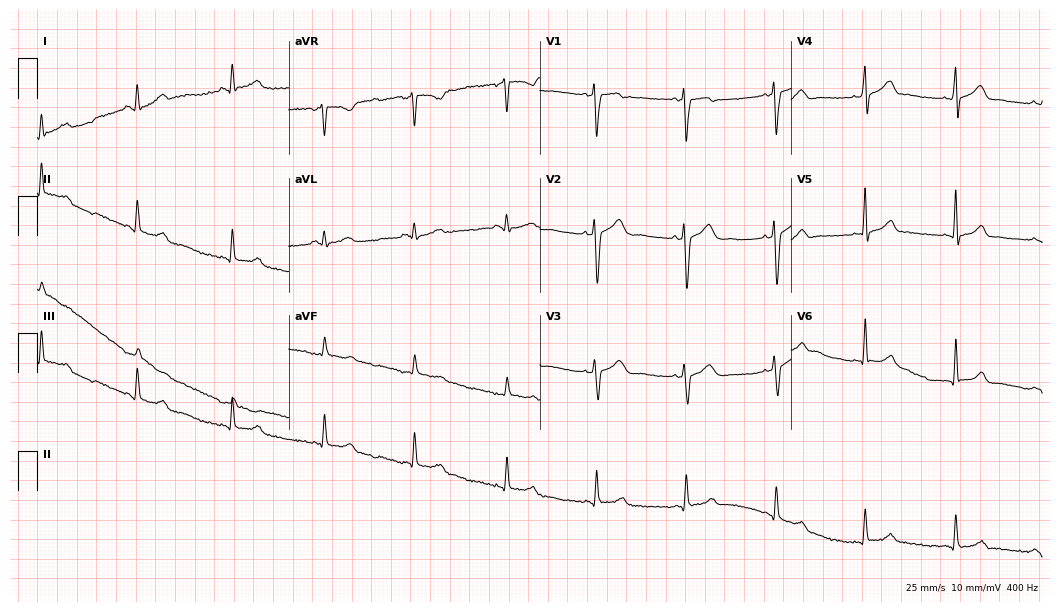
ECG (10.2-second recording at 400 Hz) — a 27-year-old female patient. Labelled as a normal ECG.